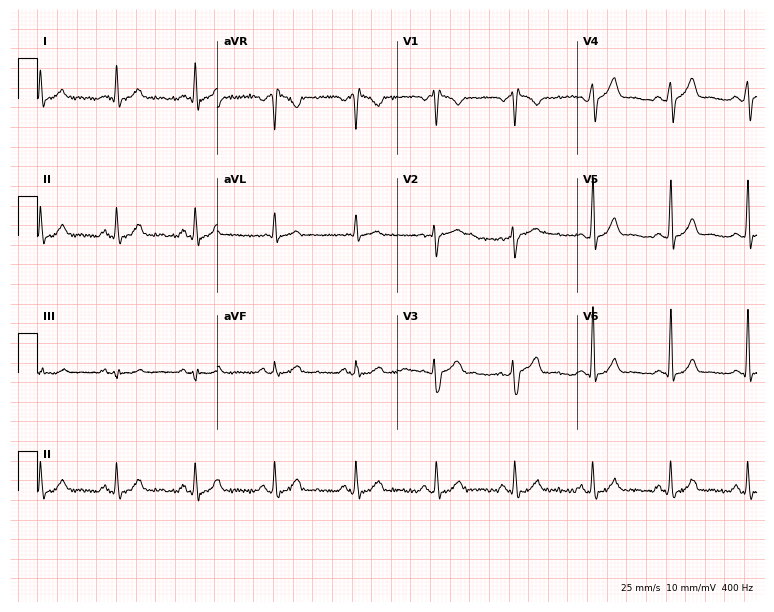
Electrocardiogram, a 43-year-old man. Of the six screened findings (first-degree AV block, right bundle branch block, left bundle branch block, sinus bradycardia, atrial fibrillation, sinus tachycardia), none is recorded.